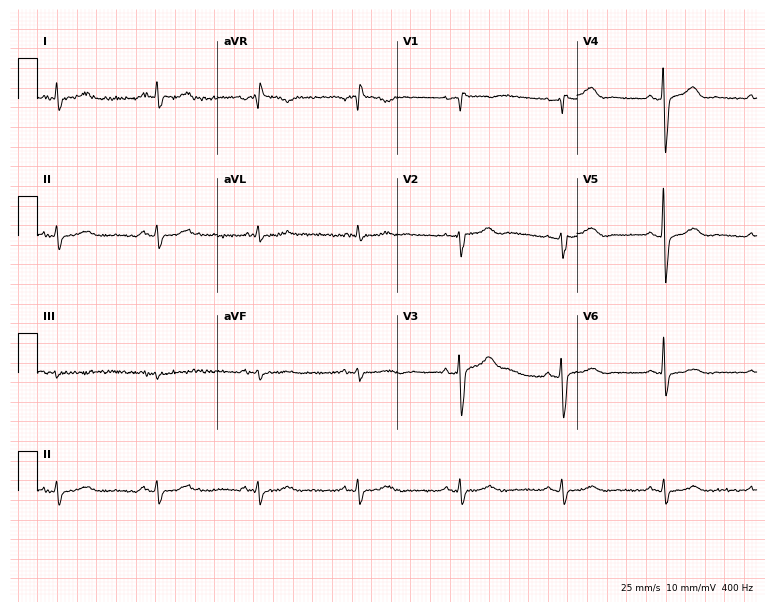
12-lead ECG (7.3-second recording at 400 Hz) from a male patient, 69 years old. Screened for six findings — first-degree AV block, right bundle branch block, left bundle branch block, sinus bradycardia, atrial fibrillation, sinus tachycardia — none is recorded.